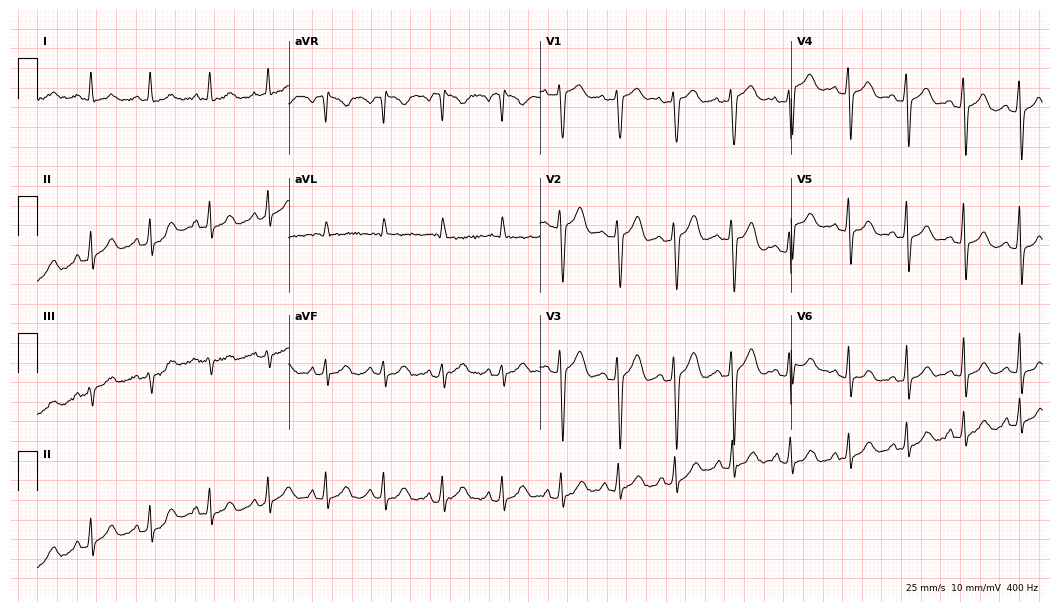
Standard 12-lead ECG recorded from a female, 38 years old (10.2-second recording at 400 Hz). None of these six findings is recorded: first-degree AV block, right bundle branch block (RBBB), left bundle branch block (LBBB), sinus bradycardia, atrial fibrillation (AF), sinus tachycardia. Other findings, if any, are not listed.